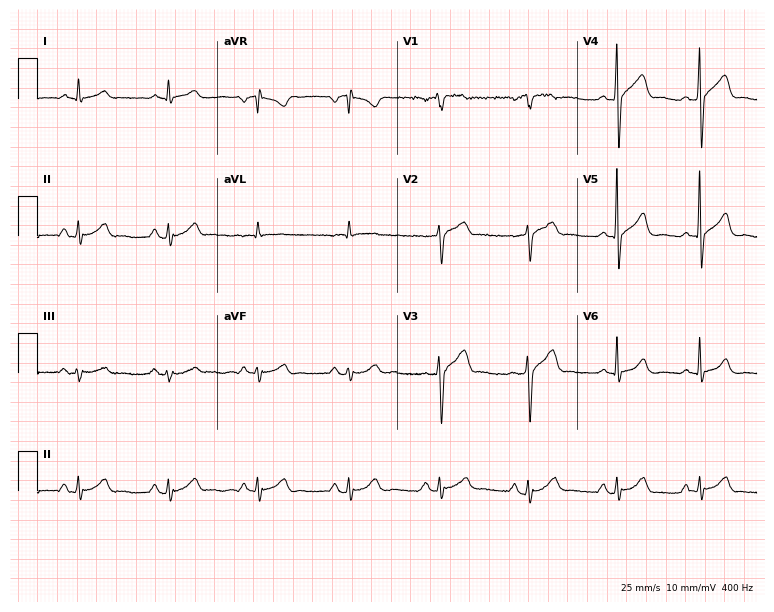
12-lead ECG from a 48-year-old male patient. Recorded interpretation: within normal limits.